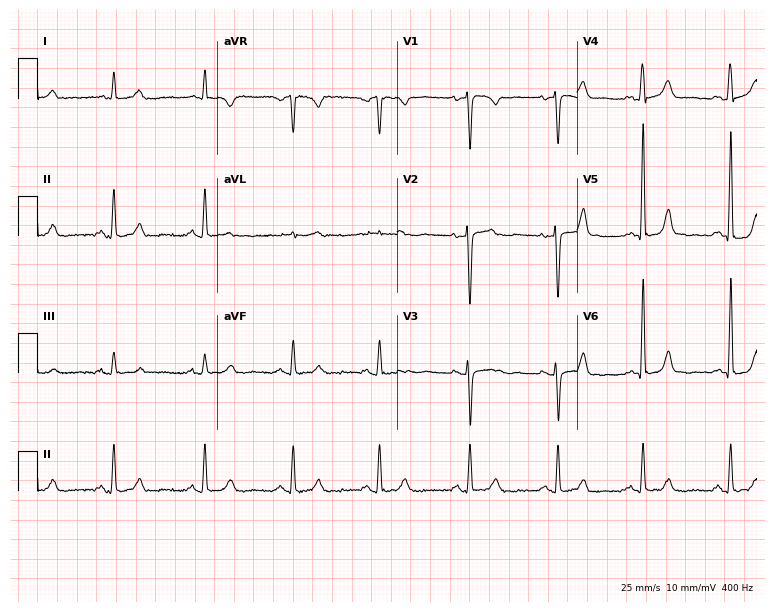
Standard 12-lead ECG recorded from a female, 44 years old. Read as a normal ECG.